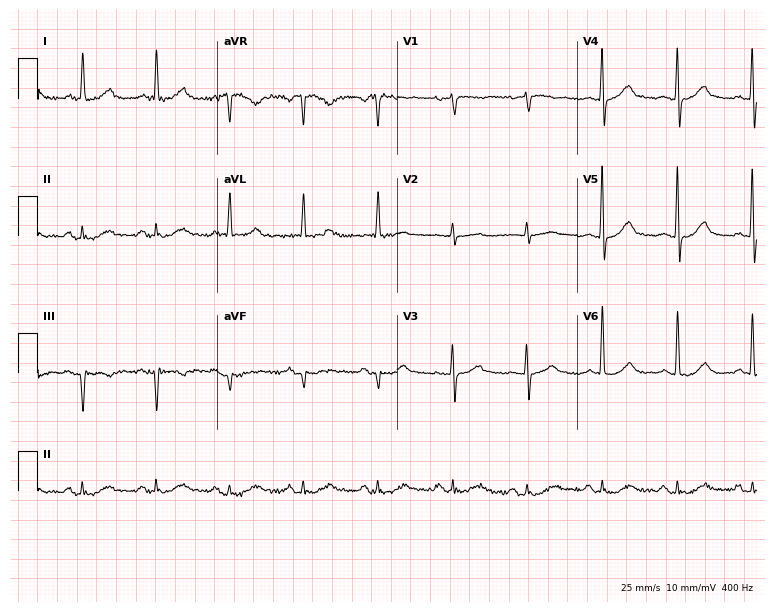
12-lead ECG from a female, 84 years old. Recorded interpretation: within normal limits.